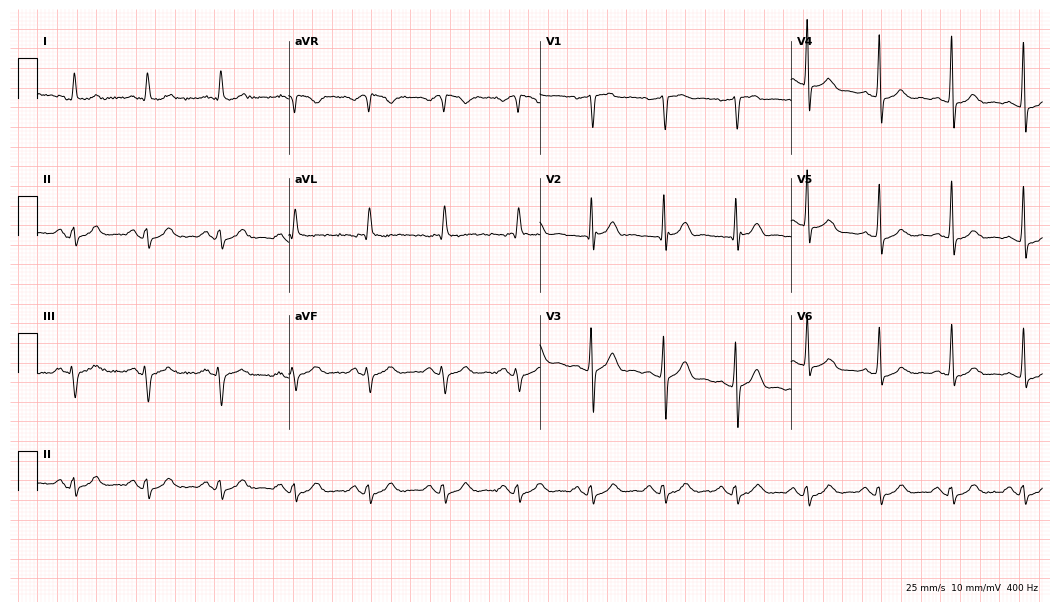
ECG — a man, 69 years old. Labelled as a normal ECG.